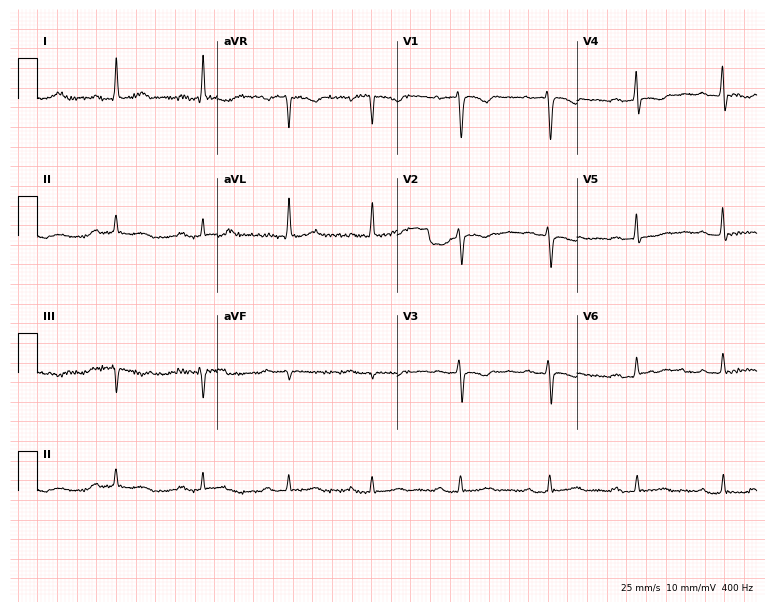
12-lead ECG from a female, 65 years old (7.3-second recording at 400 Hz). No first-degree AV block, right bundle branch block, left bundle branch block, sinus bradycardia, atrial fibrillation or sinus tachycardia recorded for this tracing.